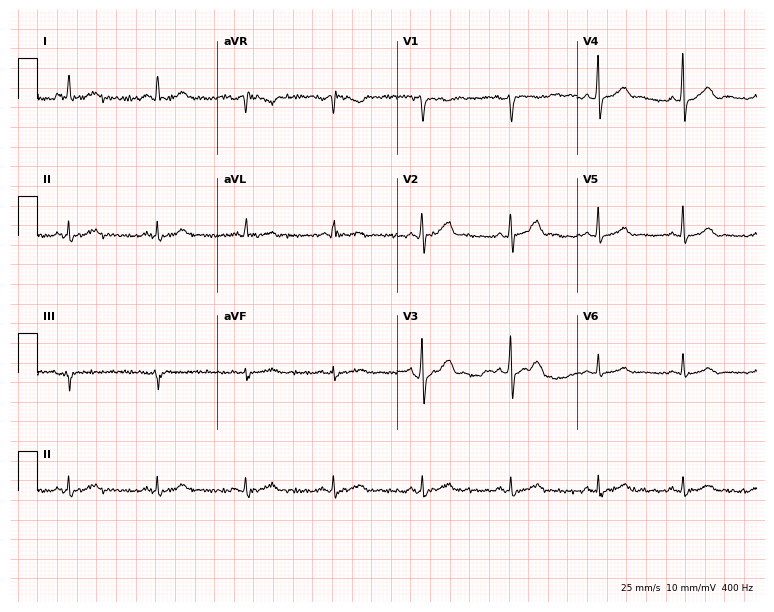
ECG (7.3-second recording at 400 Hz) — a 55-year-old male patient. Labelled as a normal ECG.